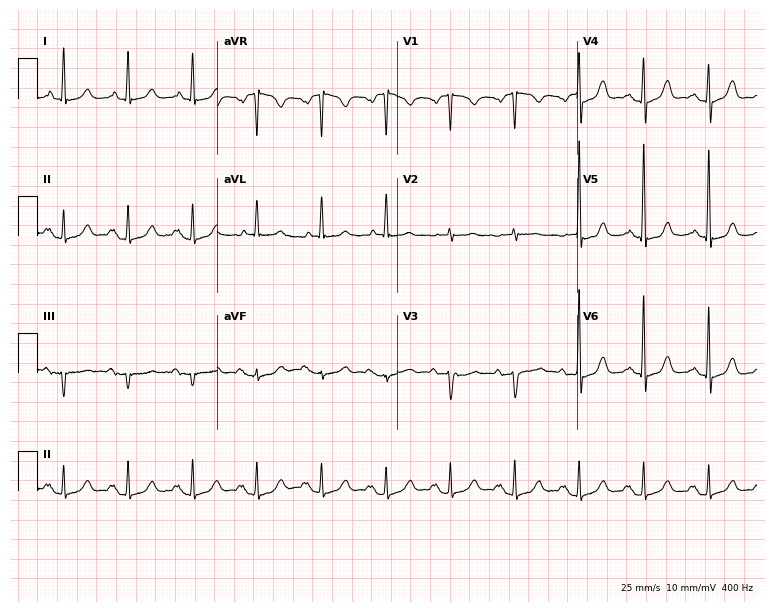
Electrocardiogram (7.3-second recording at 400 Hz), a woman, 72 years old. Of the six screened findings (first-degree AV block, right bundle branch block, left bundle branch block, sinus bradycardia, atrial fibrillation, sinus tachycardia), none is recorded.